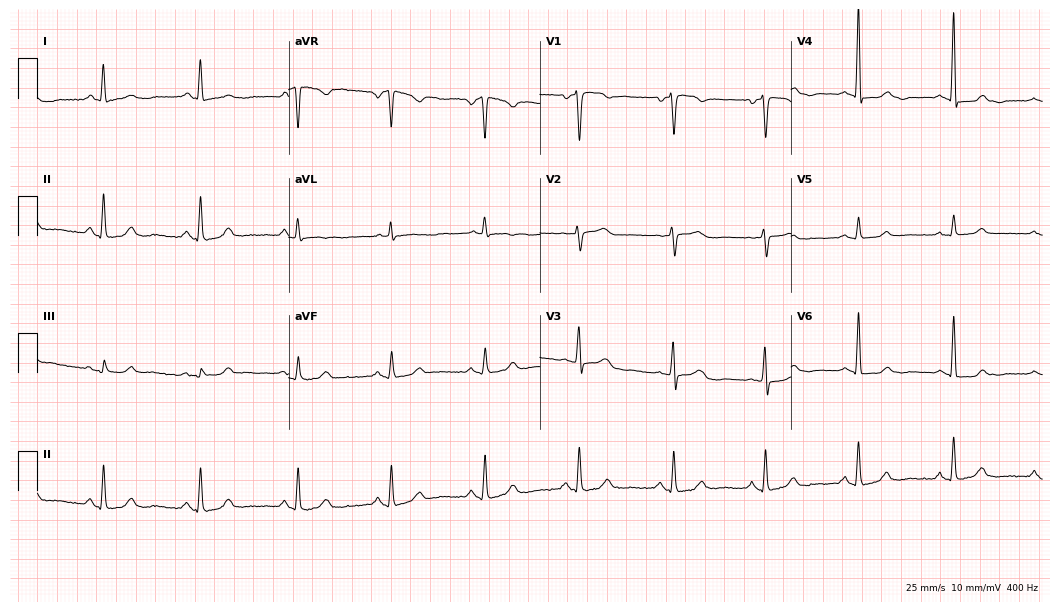
12-lead ECG from a woman, 66 years old (10.2-second recording at 400 Hz). Recorded interpretation: within normal limits.